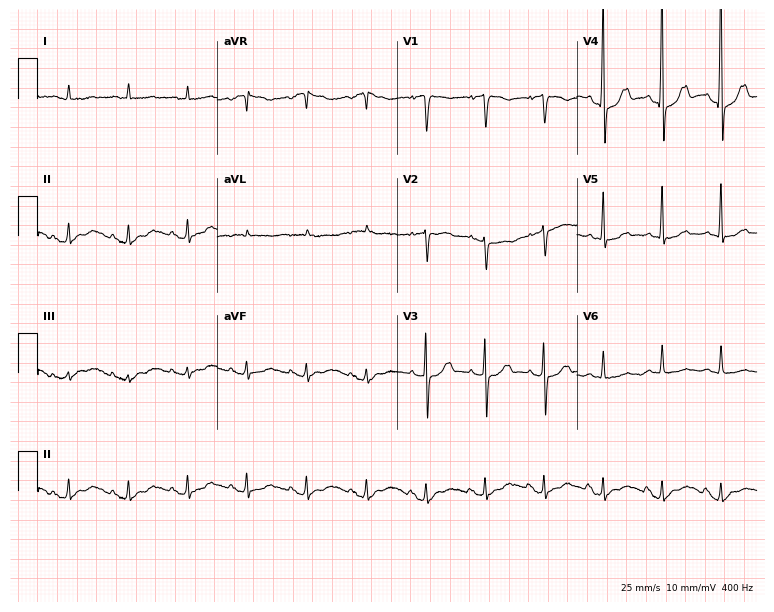
Electrocardiogram (7.3-second recording at 400 Hz), a male, 65 years old. Of the six screened findings (first-degree AV block, right bundle branch block, left bundle branch block, sinus bradycardia, atrial fibrillation, sinus tachycardia), none is recorded.